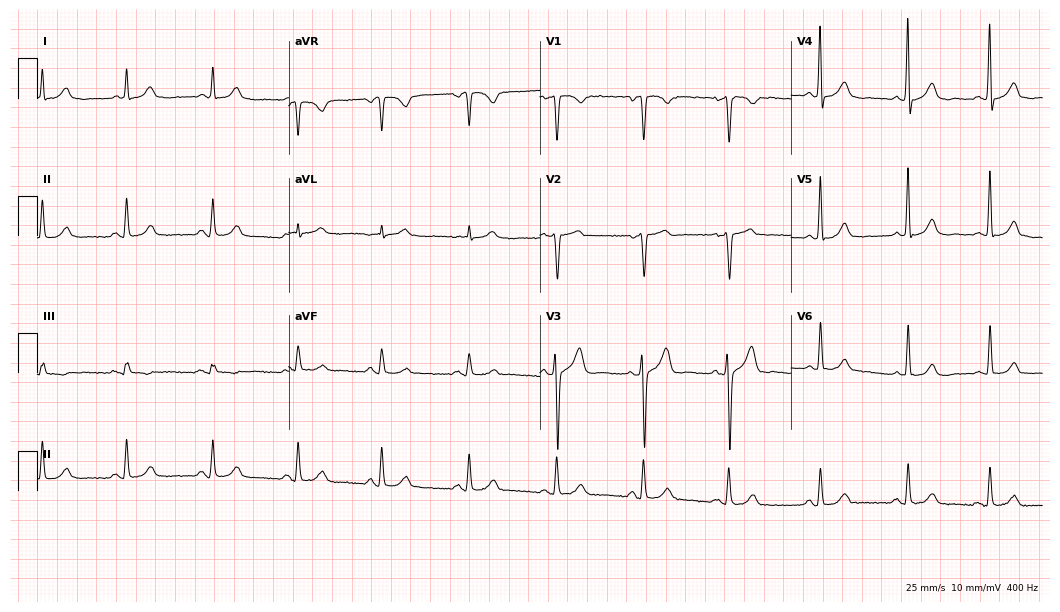
Standard 12-lead ECG recorded from a male patient, 64 years old (10.2-second recording at 400 Hz). None of these six findings is recorded: first-degree AV block, right bundle branch block, left bundle branch block, sinus bradycardia, atrial fibrillation, sinus tachycardia.